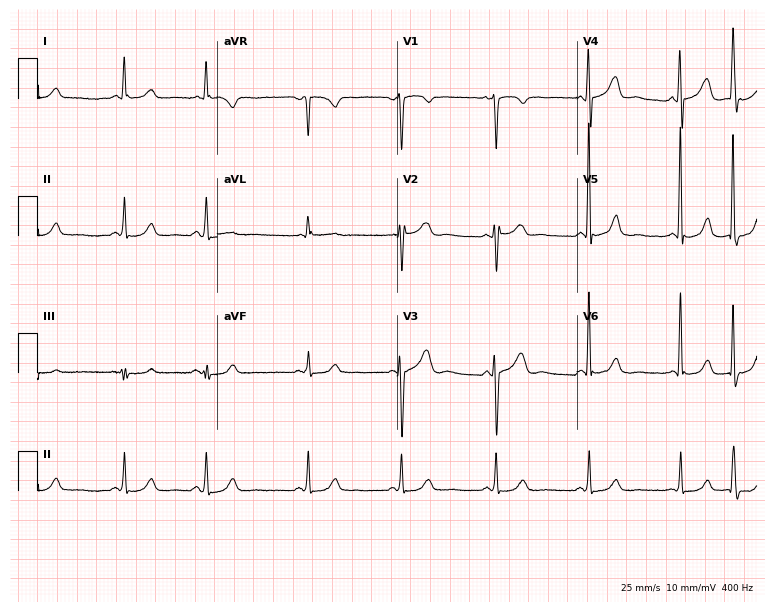
12-lead ECG (7.3-second recording at 400 Hz) from a man, 70 years old. Labelled as a normal ECG.